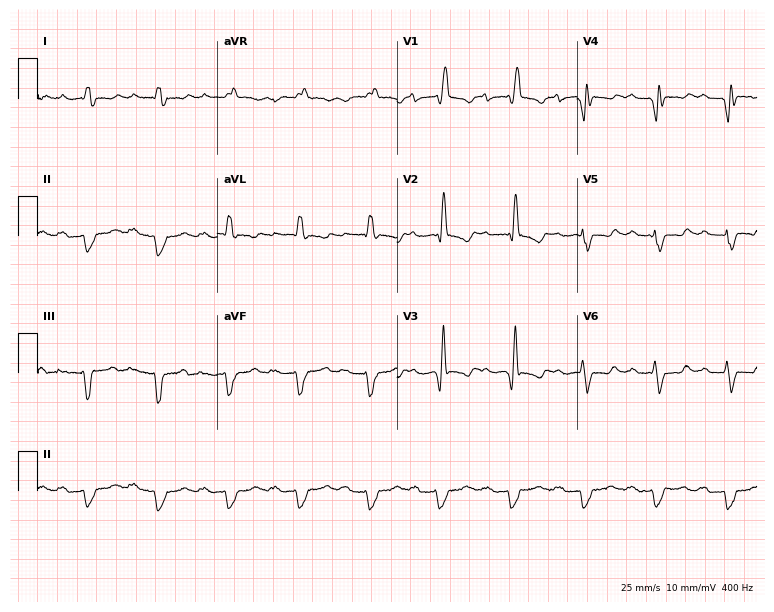
12-lead ECG from a 75-year-old man. Shows first-degree AV block, right bundle branch block (RBBB).